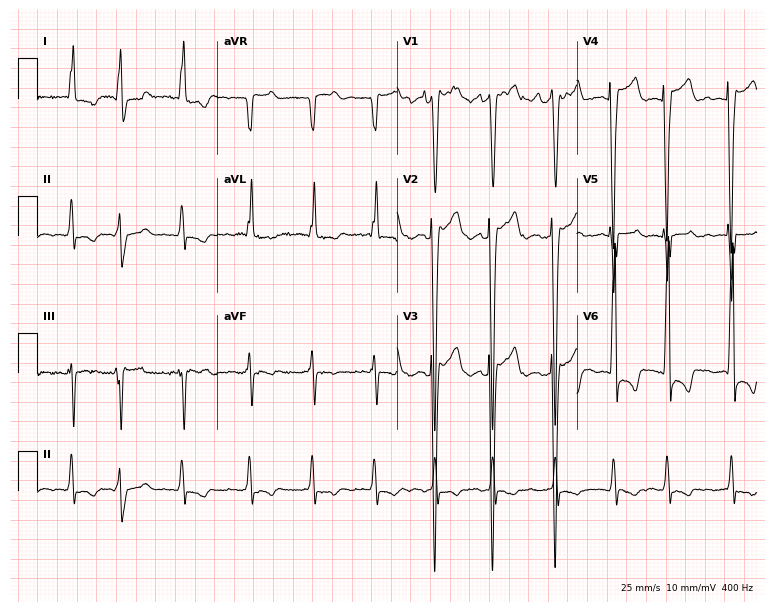
Resting 12-lead electrocardiogram. Patient: a 39-year-old man. The tracing shows atrial fibrillation.